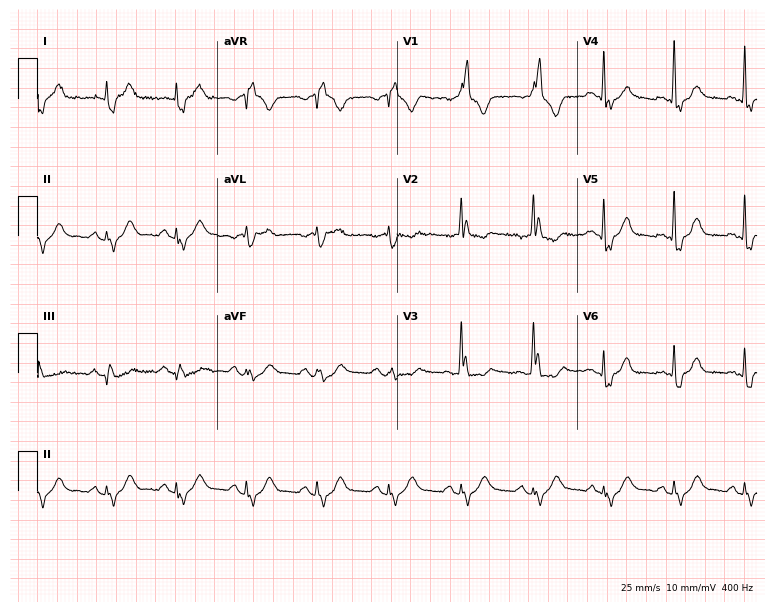
12-lead ECG (7.3-second recording at 400 Hz) from a male, 76 years old. Findings include right bundle branch block.